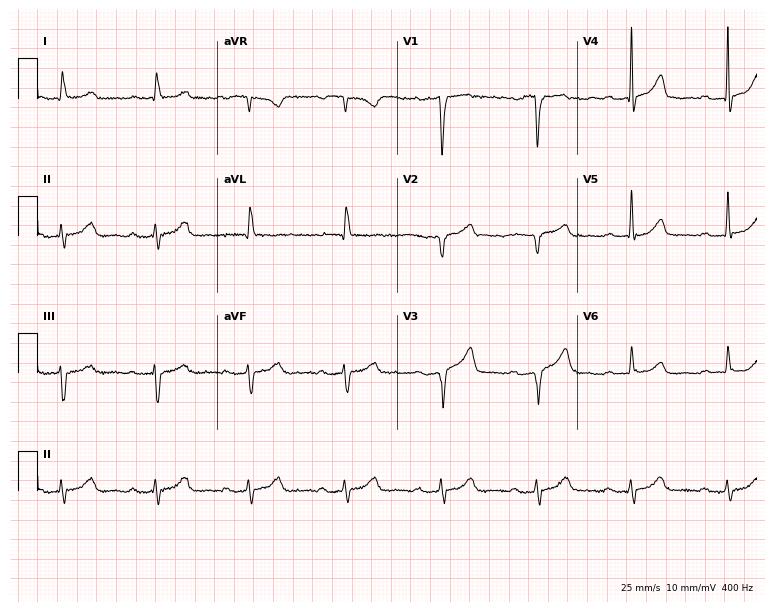
12-lead ECG from a 72-year-old man (7.3-second recording at 400 Hz). Shows first-degree AV block.